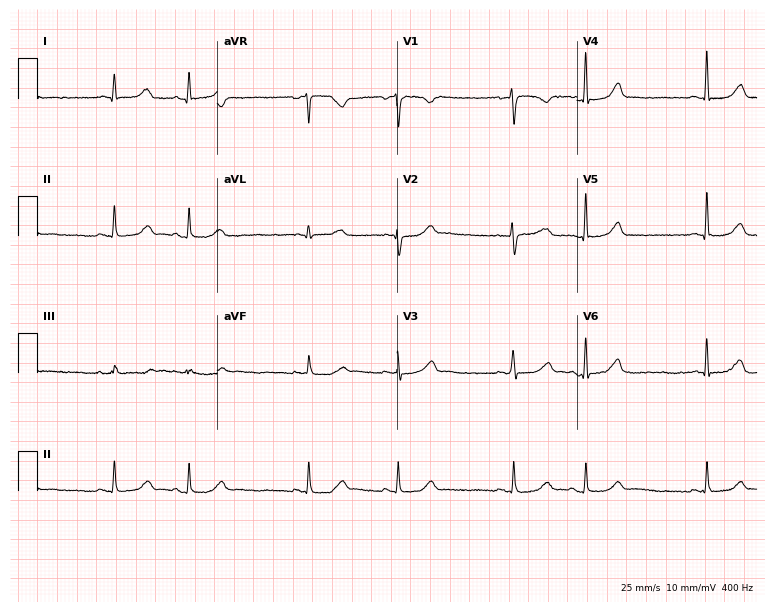
ECG (7.3-second recording at 400 Hz) — a woman, 44 years old. Screened for six findings — first-degree AV block, right bundle branch block (RBBB), left bundle branch block (LBBB), sinus bradycardia, atrial fibrillation (AF), sinus tachycardia — none is recorded. Other findings, if any, are not listed.